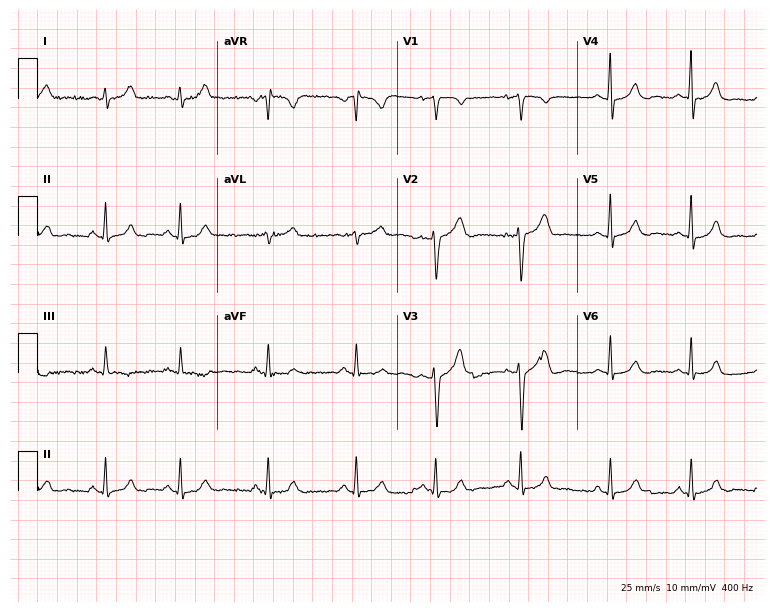
ECG — a woman, 30 years old. Labelled as a normal ECG.